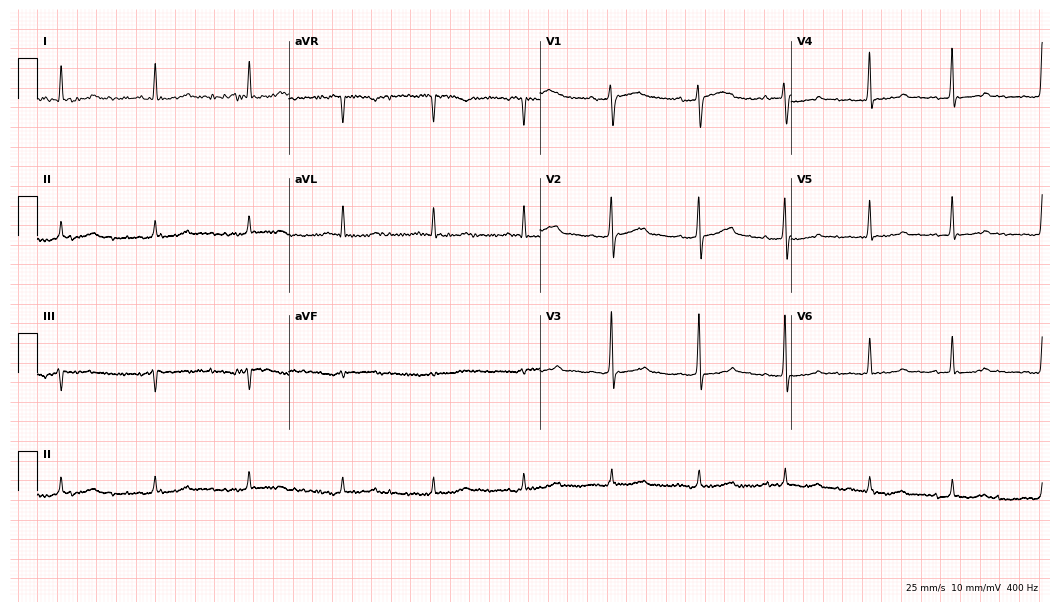
12-lead ECG from a woman, 70 years old (10.2-second recording at 400 Hz). No first-degree AV block, right bundle branch block, left bundle branch block, sinus bradycardia, atrial fibrillation or sinus tachycardia recorded for this tracing. Findings outside these six are not listed.